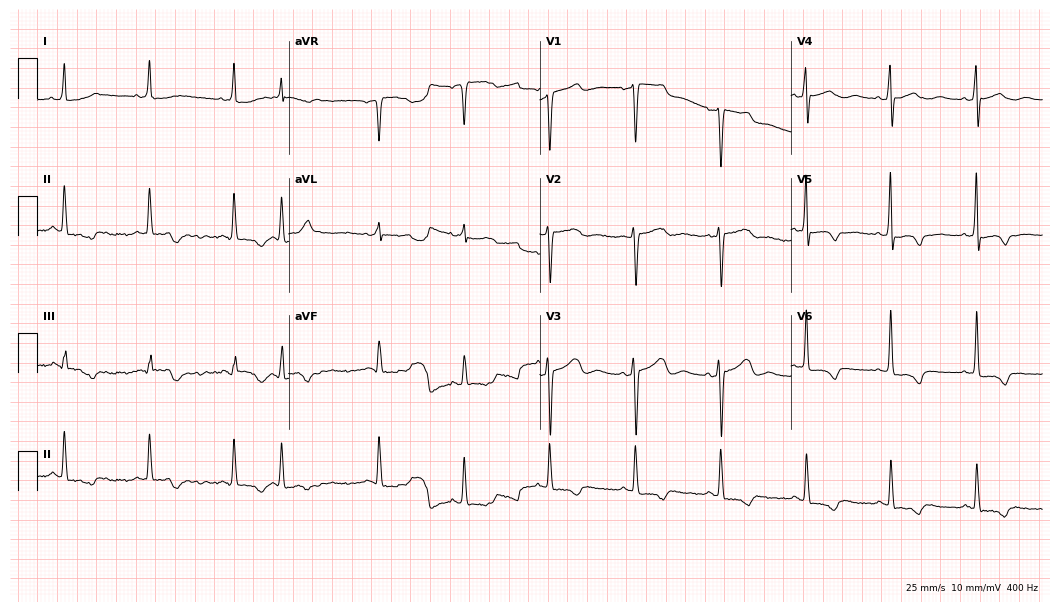
12-lead ECG from a female patient, 54 years old. No first-degree AV block, right bundle branch block, left bundle branch block, sinus bradycardia, atrial fibrillation or sinus tachycardia recorded for this tracing. Findings outside these six are not listed.